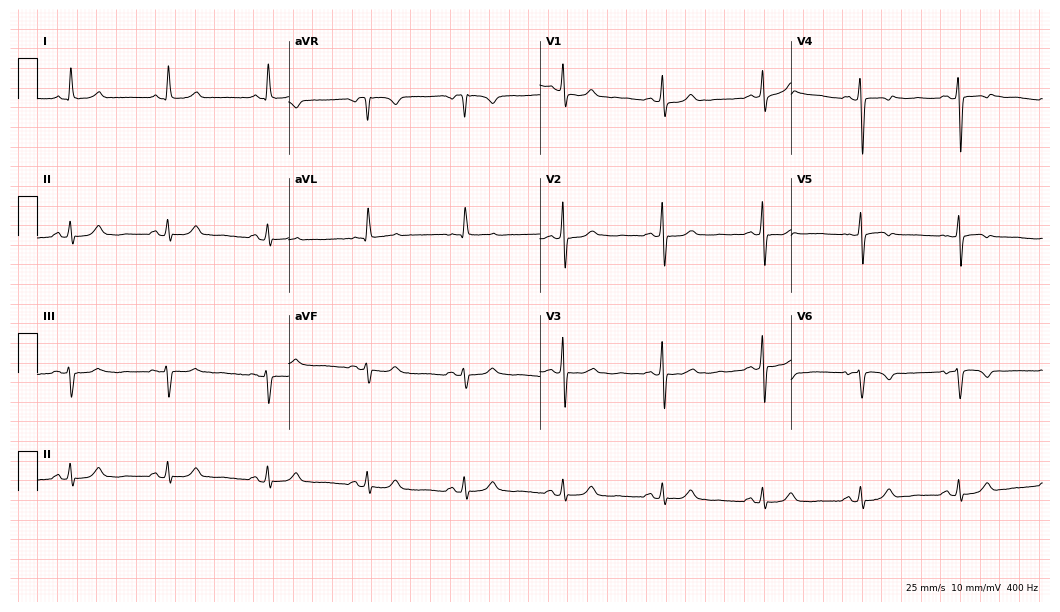
Electrocardiogram (10.2-second recording at 400 Hz), a woman, 69 years old. Of the six screened findings (first-degree AV block, right bundle branch block (RBBB), left bundle branch block (LBBB), sinus bradycardia, atrial fibrillation (AF), sinus tachycardia), none is recorded.